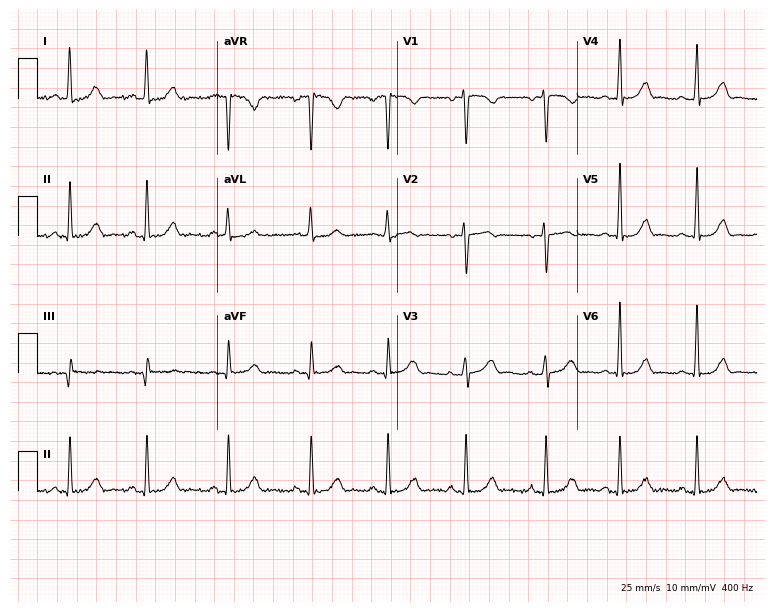
Electrocardiogram (7.3-second recording at 400 Hz), a woman, 43 years old. Overall reading on record: normal ECG.